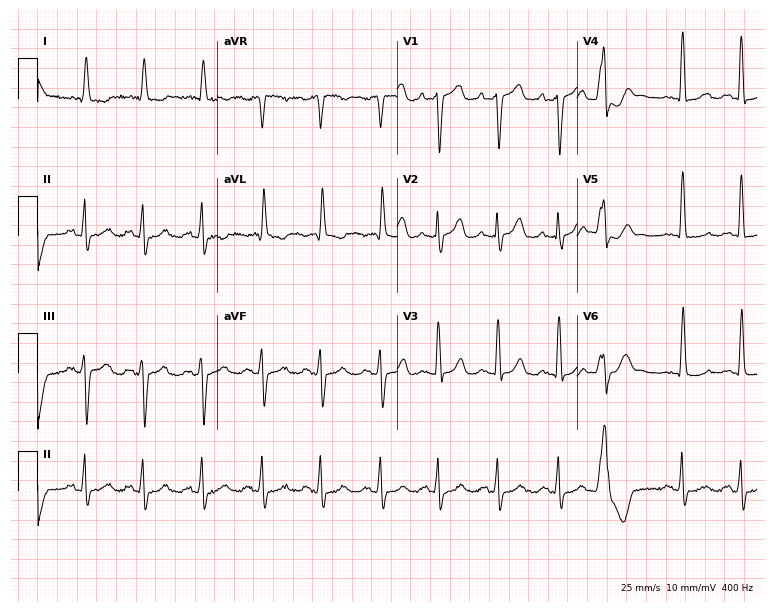
Resting 12-lead electrocardiogram. Patient: a female, 75 years old. None of these six findings is recorded: first-degree AV block, right bundle branch block, left bundle branch block, sinus bradycardia, atrial fibrillation, sinus tachycardia.